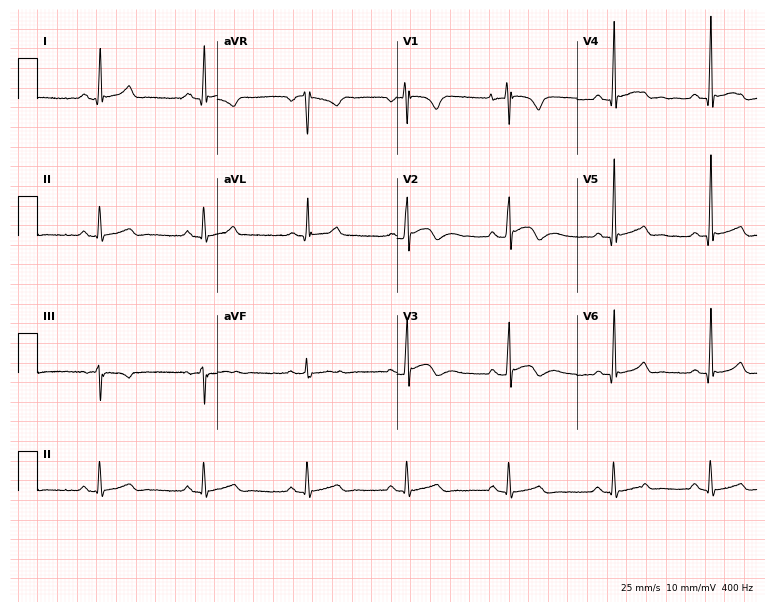
Resting 12-lead electrocardiogram. Patient: a male, 27 years old. None of these six findings is recorded: first-degree AV block, right bundle branch block, left bundle branch block, sinus bradycardia, atrial fibrillation, sinus tachycardia. Only these six findings were labelled.